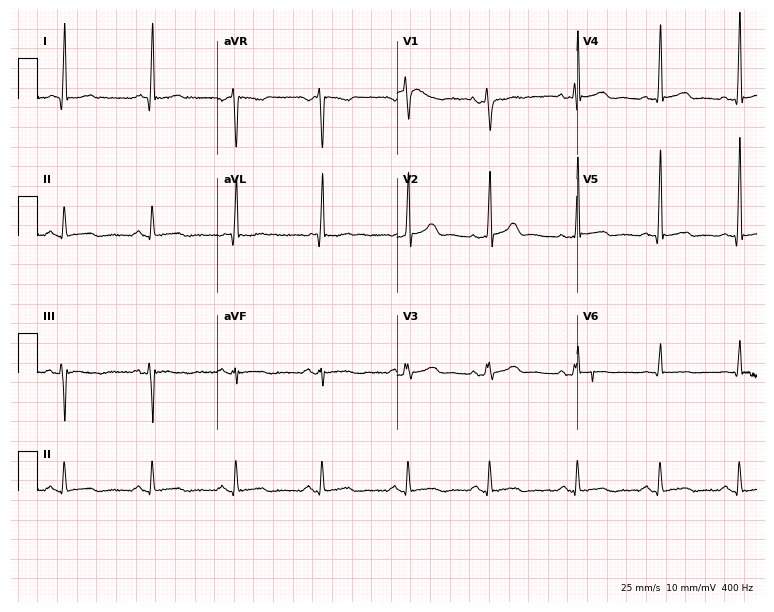
Standard 12-lead ECG recorded from a woman, 53 years old. None of these six findings is recorded: first-degree AV block, right bundle branch block, left bundle branch block, sinus bradycardia, atrial fibrillation, sinus tachycardia.